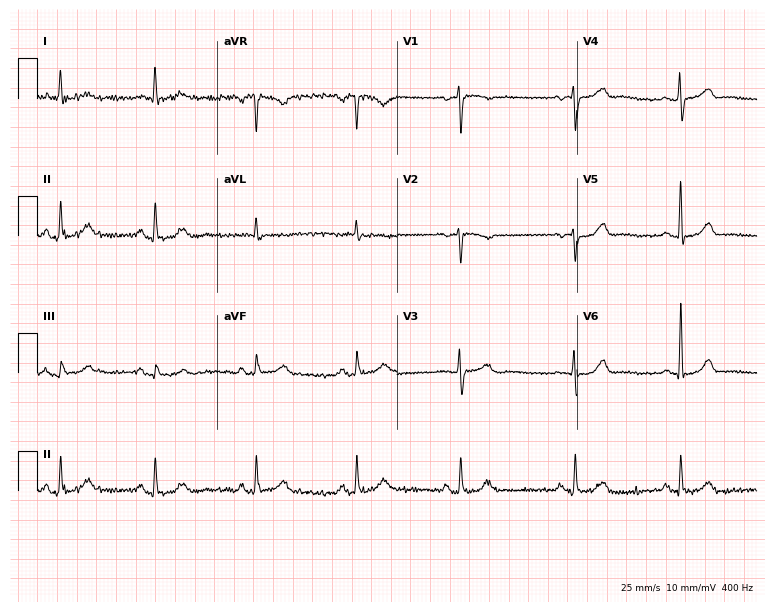
Electrocardiogram, a female patient, 55 years old. Overall reading on record: normal ECG.